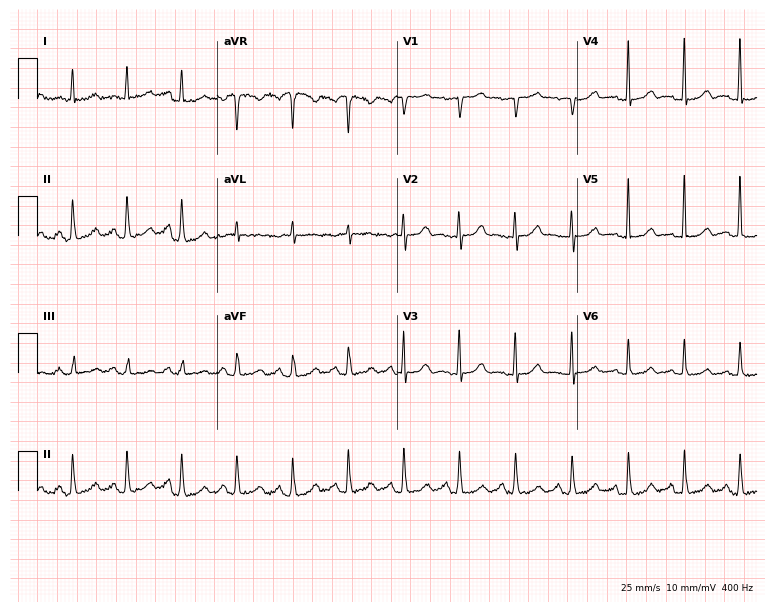
12-lead ECG (7.3-second recording at 400 Hz) from a 62-year-old female patient. Screened for six findings — first-degree AV block, right bundle branch block, left bundle branch block, sinus bradycardia, atrial fibrillation, sinus tachycardia — none is recorded. Only these six findings were labelled.